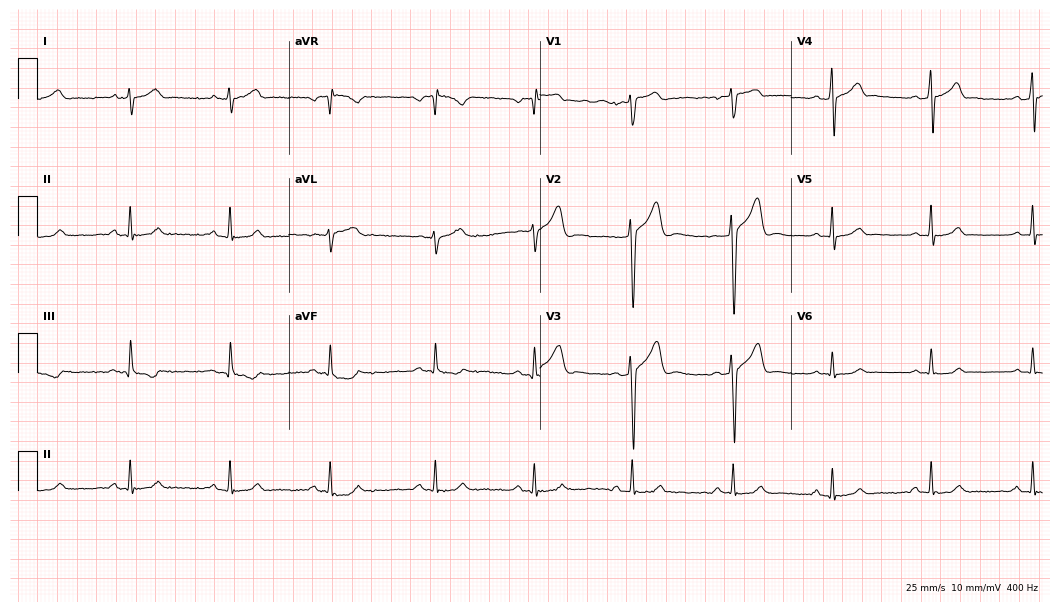
12-lead ECG (10.2-second recording at 400 Hz) from a male, 38 years old. Labelled as a normal ECG.